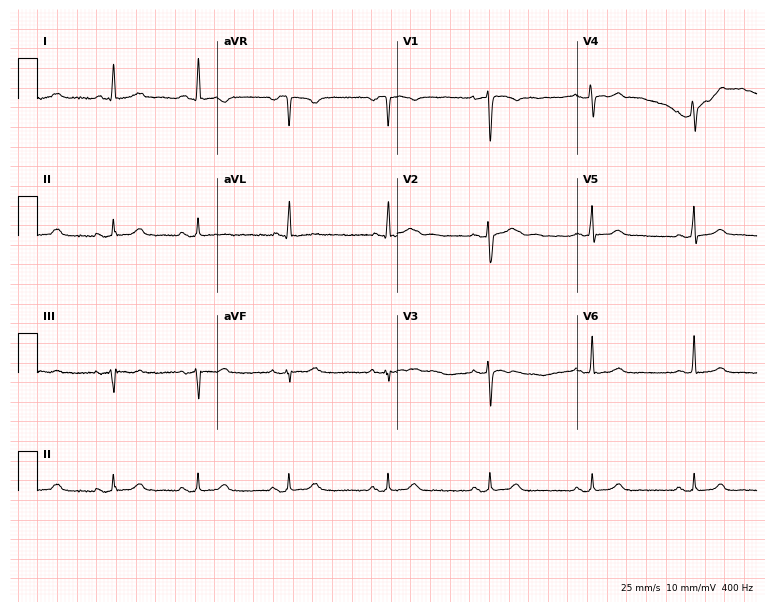
12-lead ECG (7.3-second recording at 400 Hz) from a 37-year-old female. Screened for six findings — first-degree AV block, right bundle branch block (RBBB), left bundle branch block (LBBB), sinus bradycardia, atrial fibrillation (AF), sinus tachycardia — none is recorded.